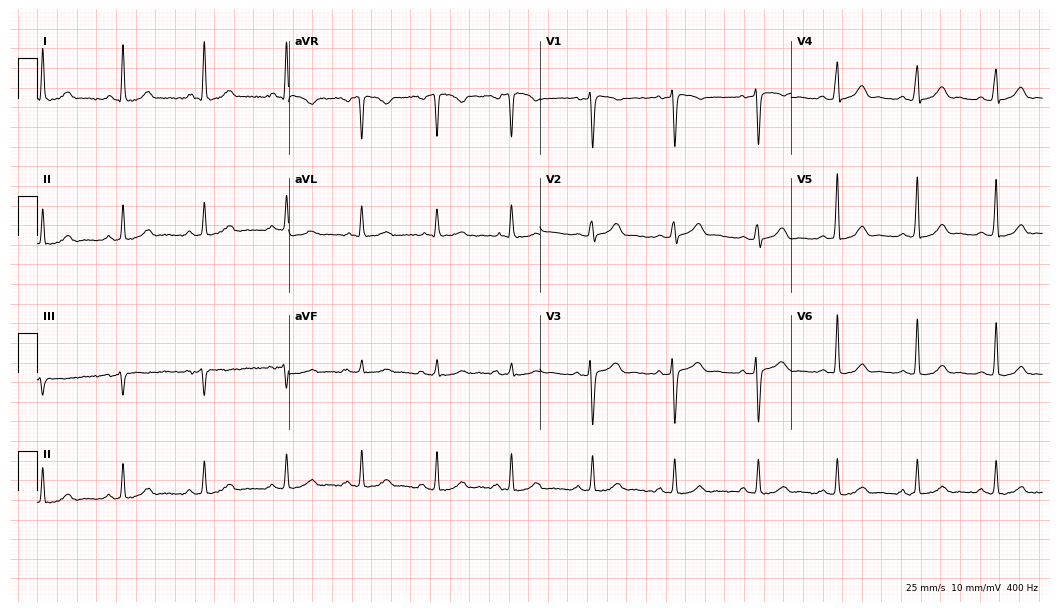
Resting 12-lead electrocardiogram. Patient: a female, 43 years old. Read as a normal ECG.